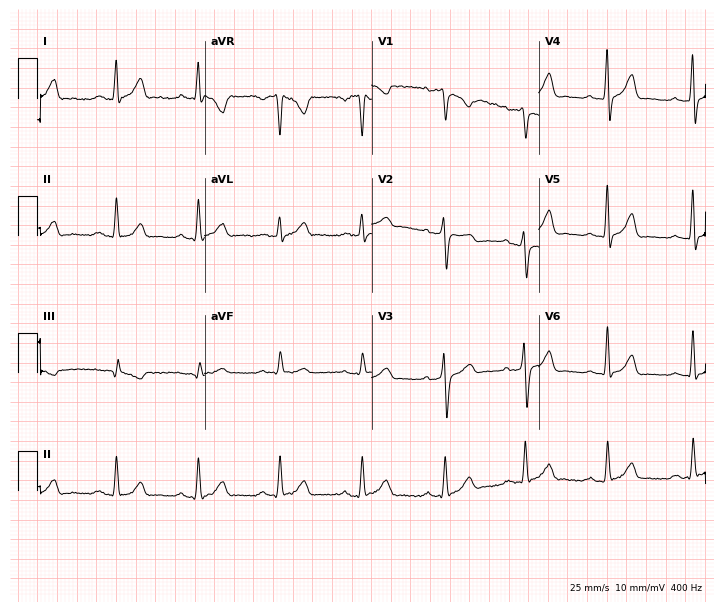
Electrocardiogram (6.8-second recording at 400 Hz), a 23-year-old male patient. Of the six screened findings (first-degree AV block, right bundle branch block (RBBB), left bundle branch block (LBBB), sinus bradycardia, atrial fibrillation (AF), sinus tachycardia), none is recorded.